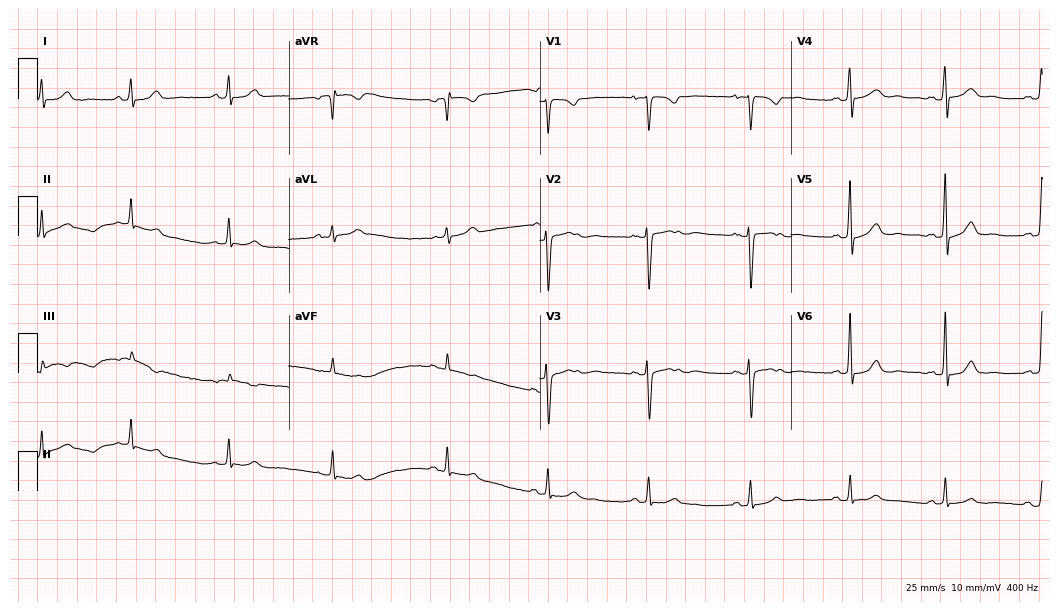
12-lead ECG from a female, 33 years old. Labelled as a normal ECG.